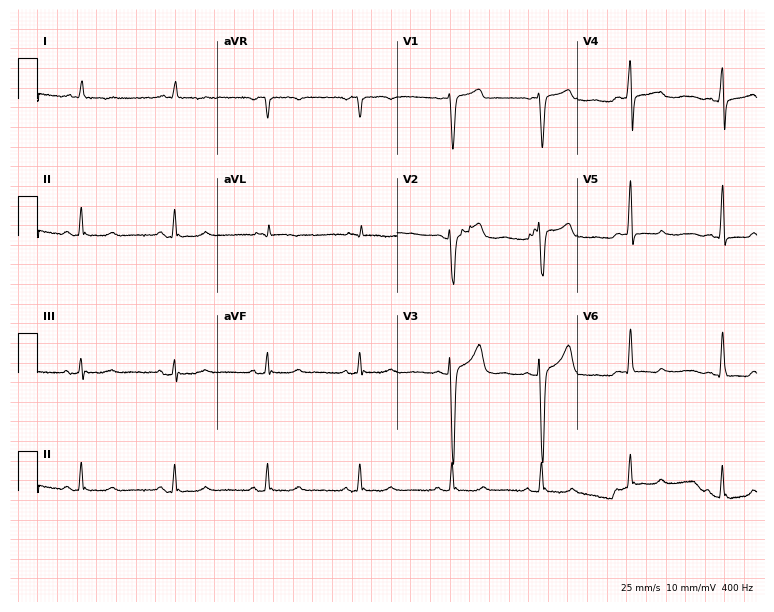
Resting 12-lead electrocardiogram. Patient: a man, 80 years old. None of these six findings is recorded: first-degree AV block, right bundle branch block, left bundle branch block, sinus bradycardia, atrial fibrillation, sinus tachycardia. Other findings, if any, are not listed.